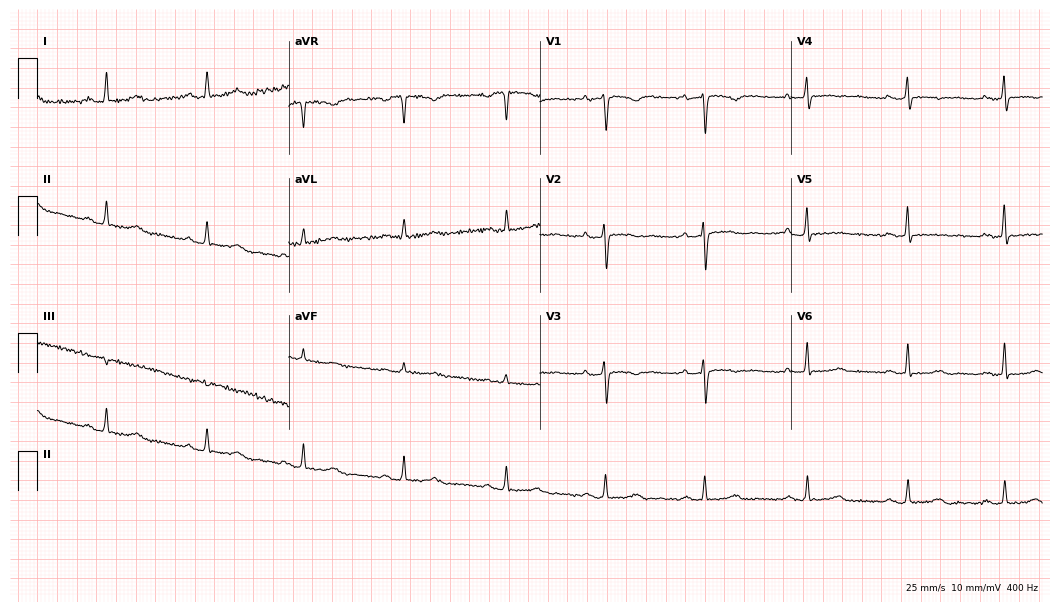
12-lead ECG from a female, 49 years old (10.2-second recording at 400 Hz). No first-degree AV block, right bundle branch block (RBBB), left bundle branch block (LBBB), sinus bradycardia, atrial fibrillation (AF) or sinus tachycardia recorded for this tracing.